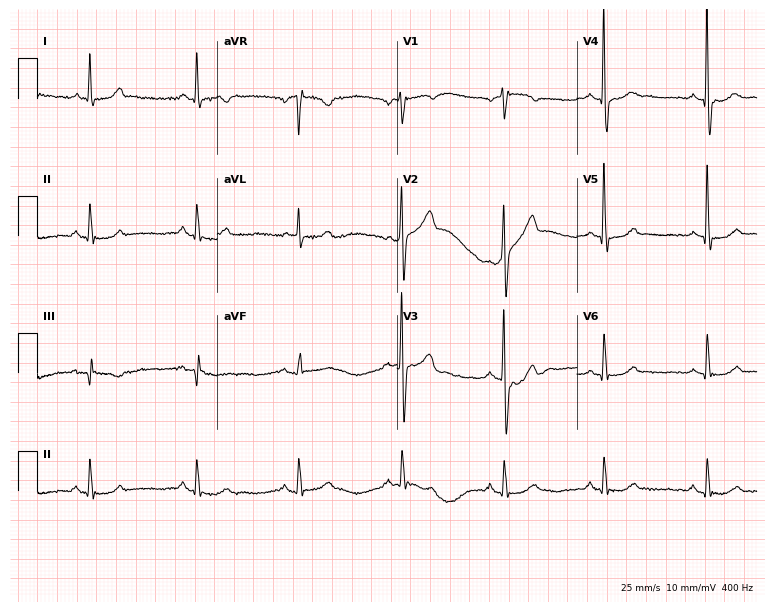
12-lead ECG (7.3-second recording at 400 Hz) from a male patient, 52 years old. Labelled as a normal ECG.